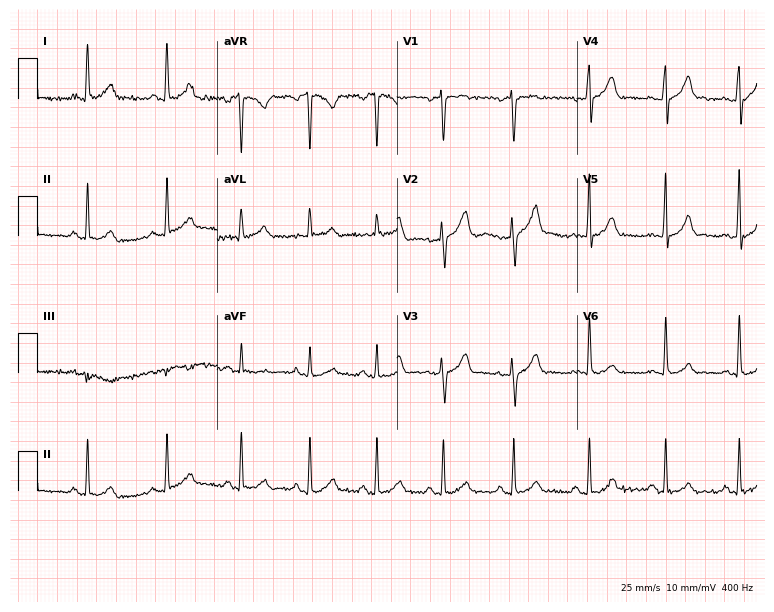
12-lead ECG from a male patient, 26 years old. Recorded interpretation: within normal limits.